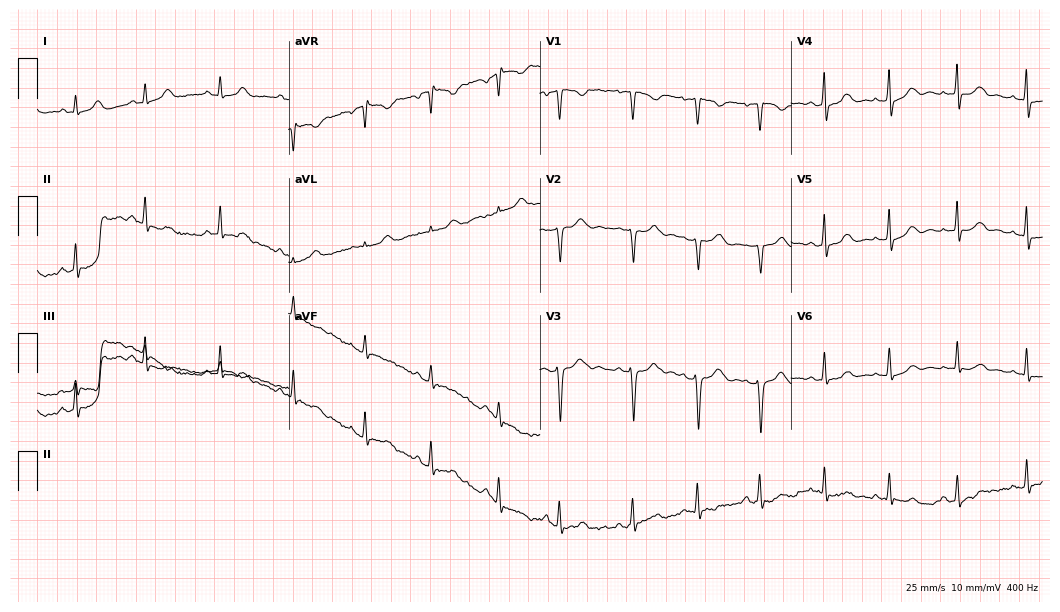
12-lead ECG from a 19-year-old female patient (10.2-second recording at 400 Hz). No first-degree AV block, right bundle branch block, left bundle branch block, sinus bradycardia, atrial fibrillation or sinus tachycardia recorded for this tracing.